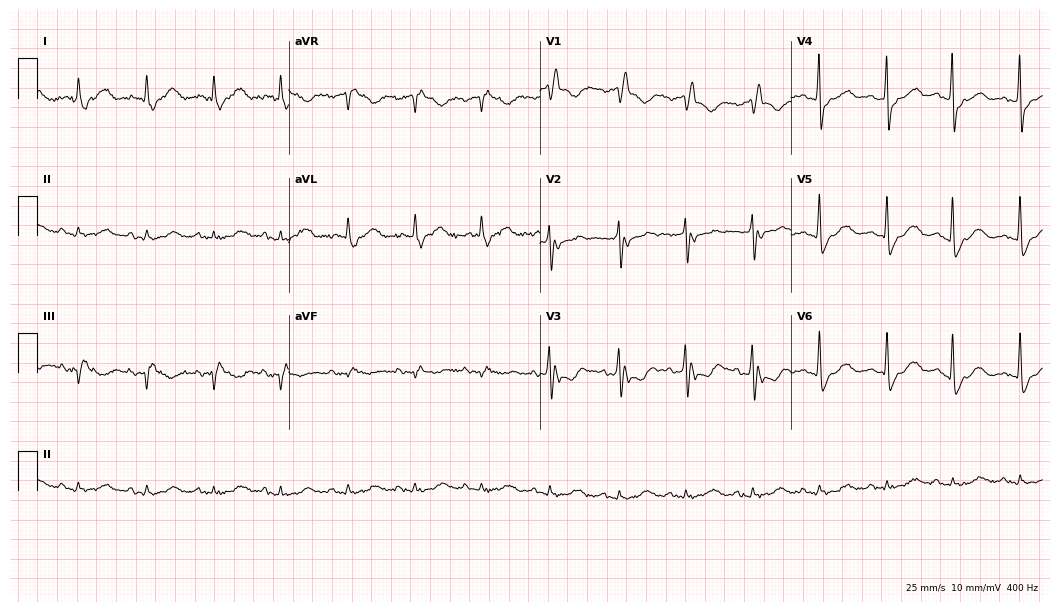
Resting 12-lead electrocardiogram (10.2-second recording at 400 Hz). Patient: a female, 77 years old. The tracing shows right bundle branch block (RBBB).